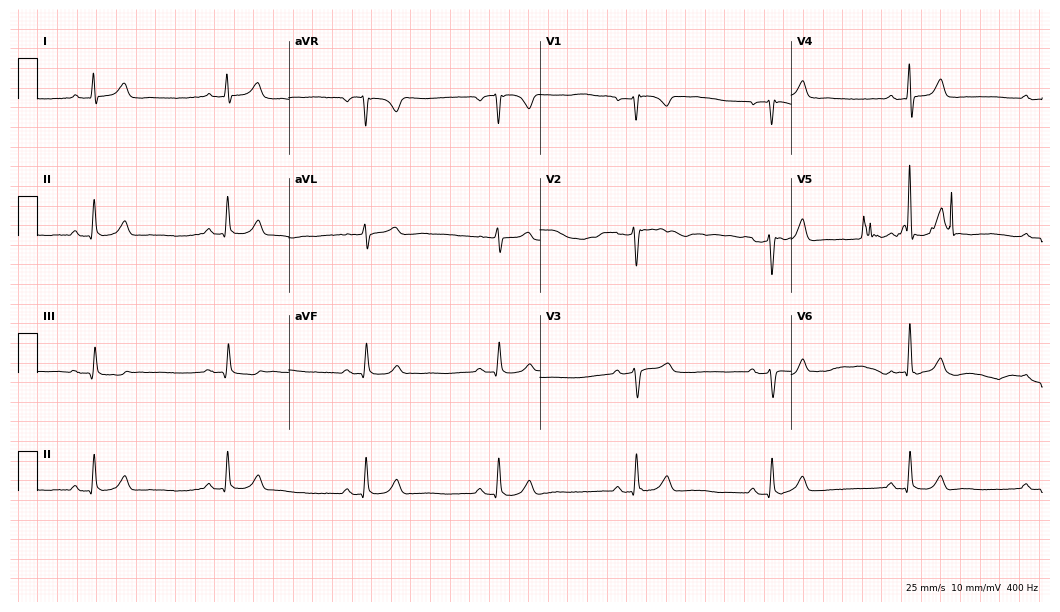
Standard 12-lead ECG recorded from a female patient, 63 years old (10.2-second recording at 400 Hz). The tracing shows sinus bradycardia (a sinus rate of 50 beats per minute or less).